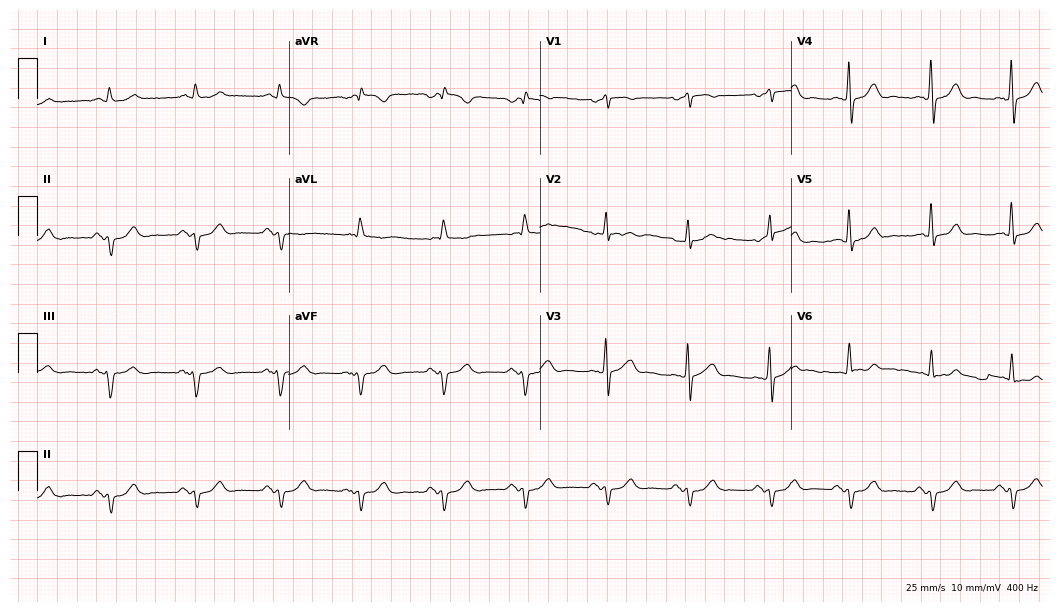
12-lead ECG from a 72-year-old male patient (10.2-second recording at 400 Hz). No first-degree AV block, right bundle branch block, left bundle branch block, sinus bradycardia, atrial fibrillation or sinus tachycardia recorded for this tracing.